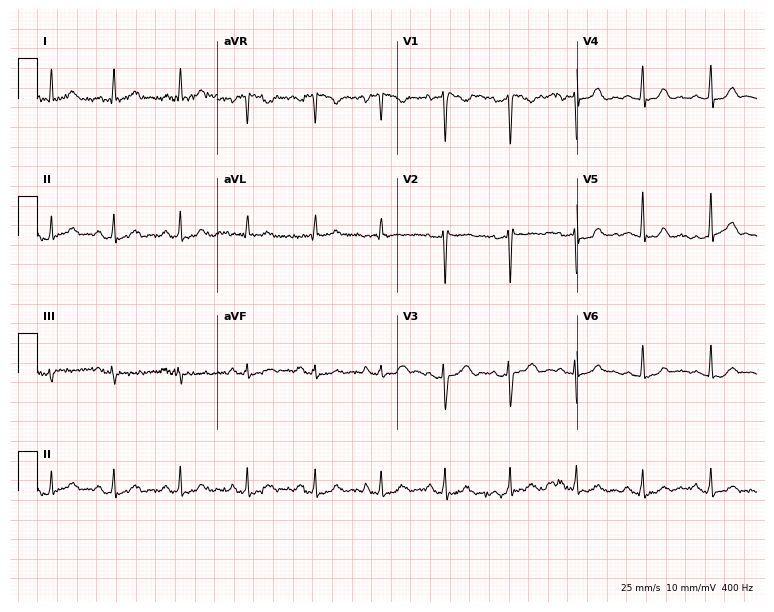
Standard 12-lead ECG recorded from a 27-year-old female patient. None of these six findings is recorded: first-degree AV block, right bundle branch block, left bundle branch block, sinus bradycardia, atrial fibrillation, sinus tachycardia.